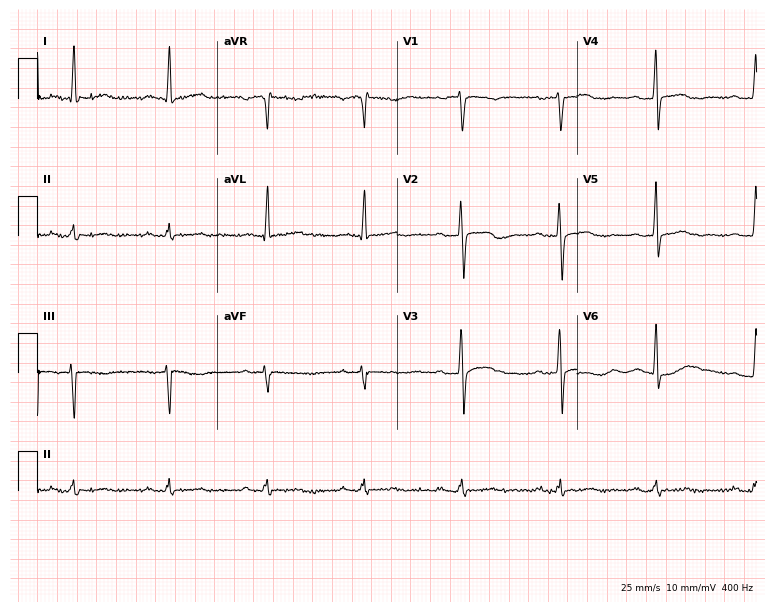
12-lead ECG from a female, 45 years old (7.3-second recording at 400 Hz). No first-degree AV block, right bundle branch block, left bundle branch block, sinus bradycardia, atrial fibrillation or sinus tachycardia recorded for this tracing.